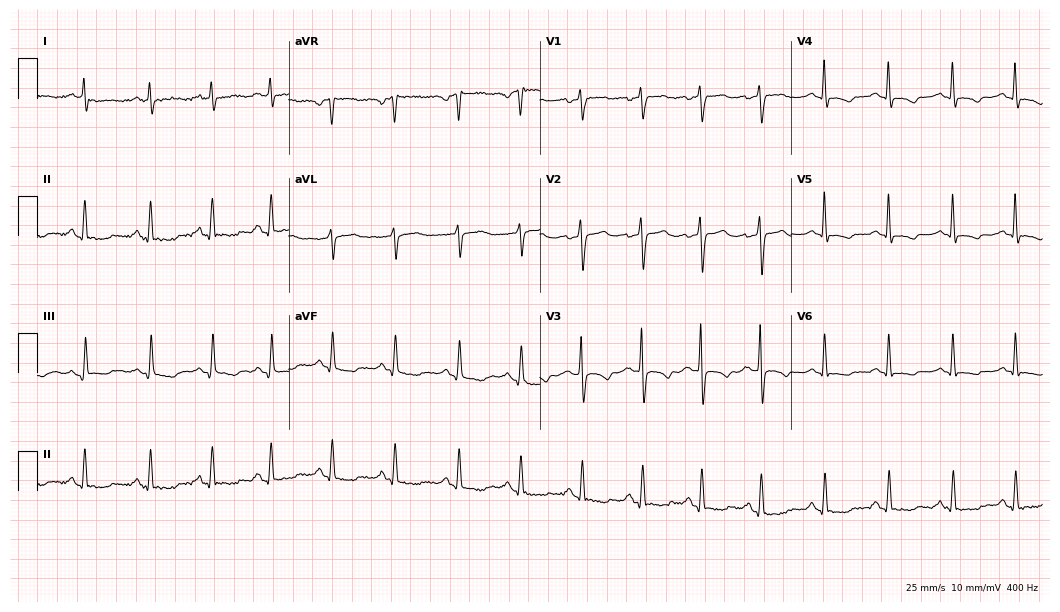
ECG — a woman, 55 years old. Screened for six findings — first-degree AV block, right bundle branch block, left bundle branch block, sinus bradycardia, atrial fibrillation, sinus tachycardia — none is recorded. Only these six findings were labelled.